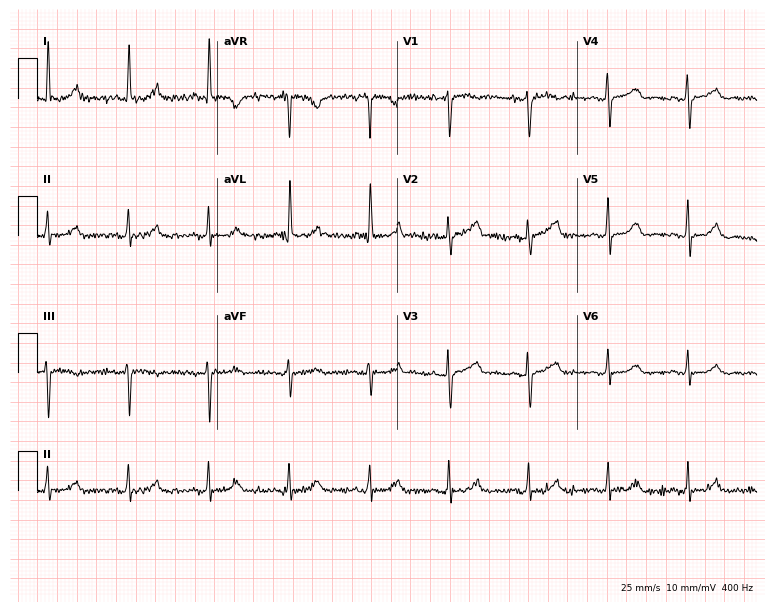
Electrocardiogram (7.3-second recording at 400 Hz), a 55-year-old woman. Of the six screened findings (first-degree AV block, right bundle branch block, left bundle branch block, sinus bradycardia, atrial fibrillation, sinus tachycardia), none is recorded.